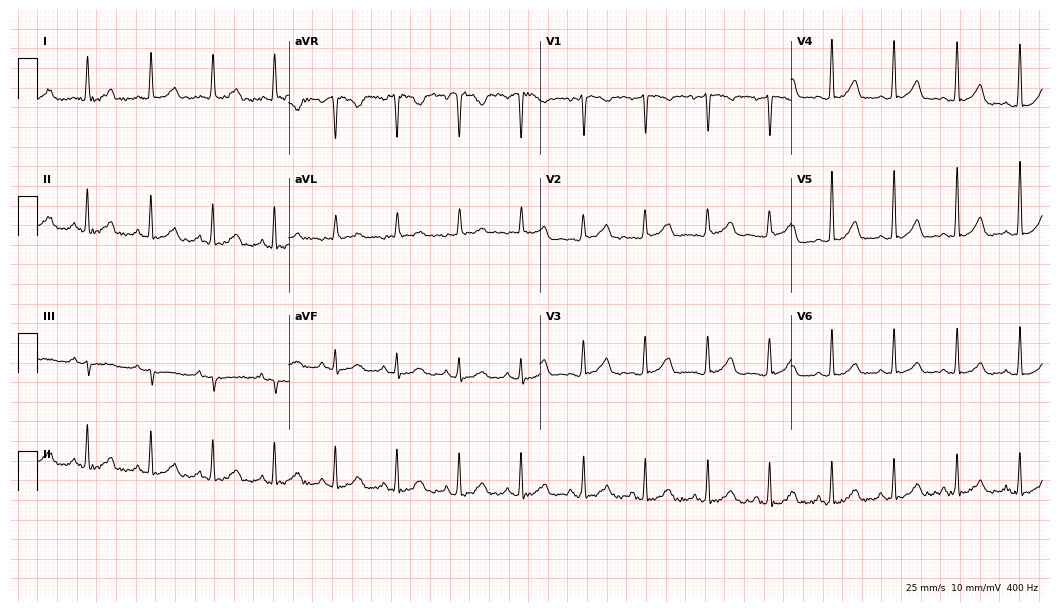
12-lead ECG from a woman, 57 years old. Recorded interpretation: within normal limits.